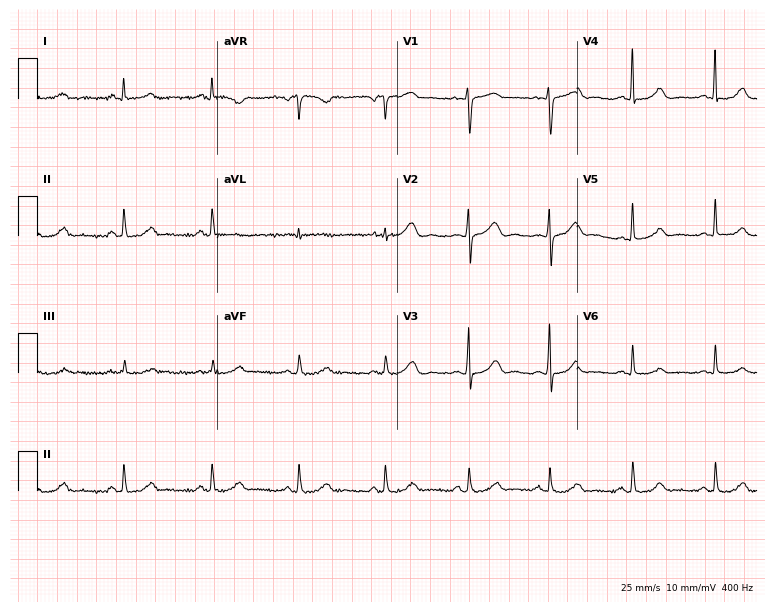
12-lead ECG from a 32-year-old woman. No first-degree AV block, right bundle branch block (RBBB), left bundle branch block (LBBB), sinus bradycardia, atrial fibrillation (AF) or sinus tachycardia recorded for this tracing. Only these six findings were labelled.